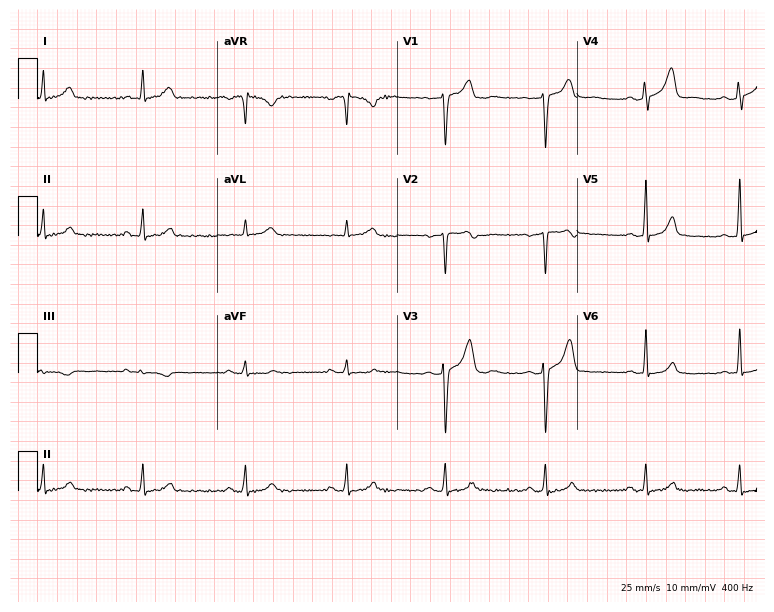
12-lead ECG (7.3-second recording at 400 Hz) from a female, 48 years old. Screened for six findings — first-degree AV block, right bundle branch block, left bundle branch block, sinus bradycardia, atrial fibrillation, sinus tachycardia — none is recorded. Other findings, if any, are not listed.